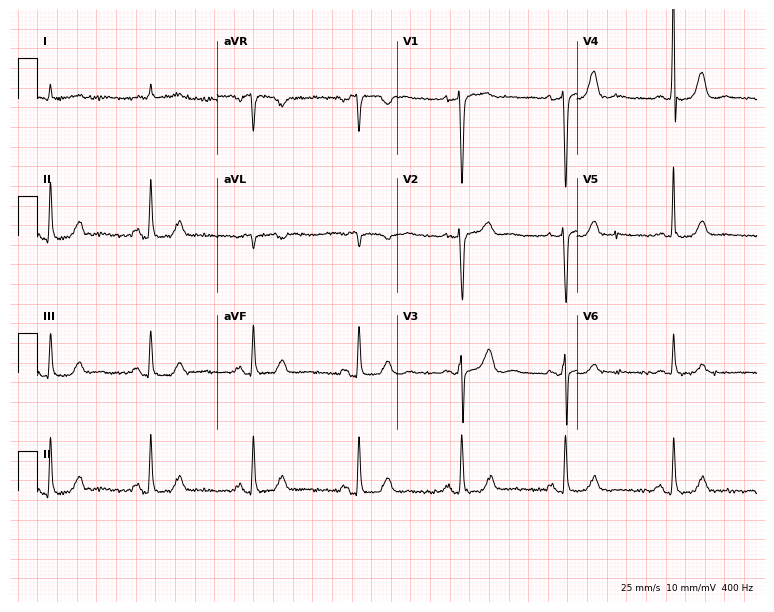
Electrocardiogram (7.3-second recording at 400 Hz), a 62-year-old male. Of the six screened findings (first-degree AV block, right bundle branch block, left bundle branch block, sinus bradycardia, atrial fibrillation, sinus tachycardia), none is recorded.